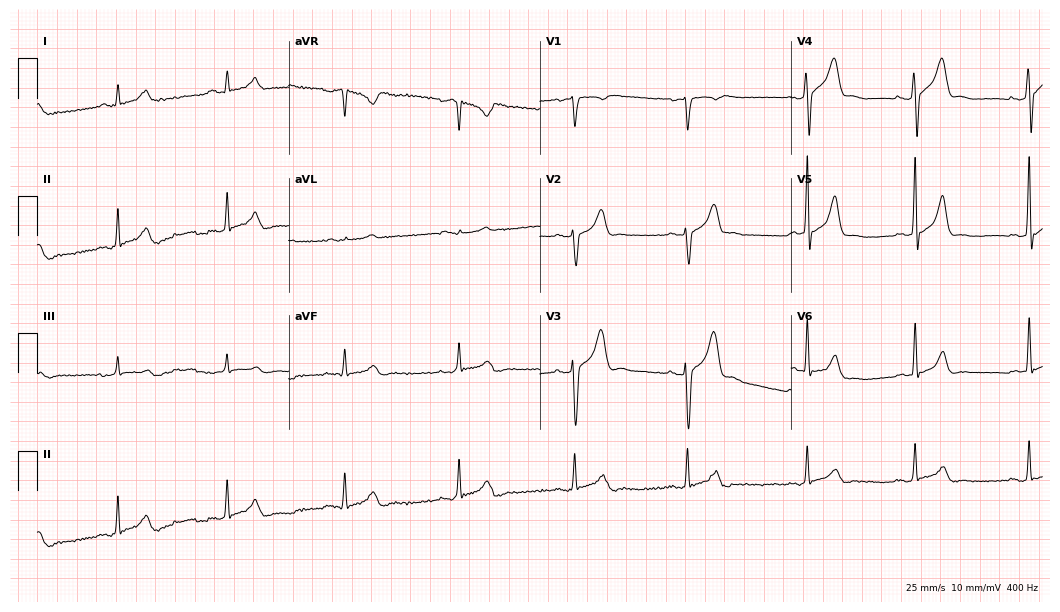
ECG — a 47-year-old male. Screened for six findings — first-degree AV block, right bundle branch block (RBBB), left bundle branch block (LBBB), sinus bradycardia, atrial fibrillation (AF), sinus tachycardia — none is recorded.